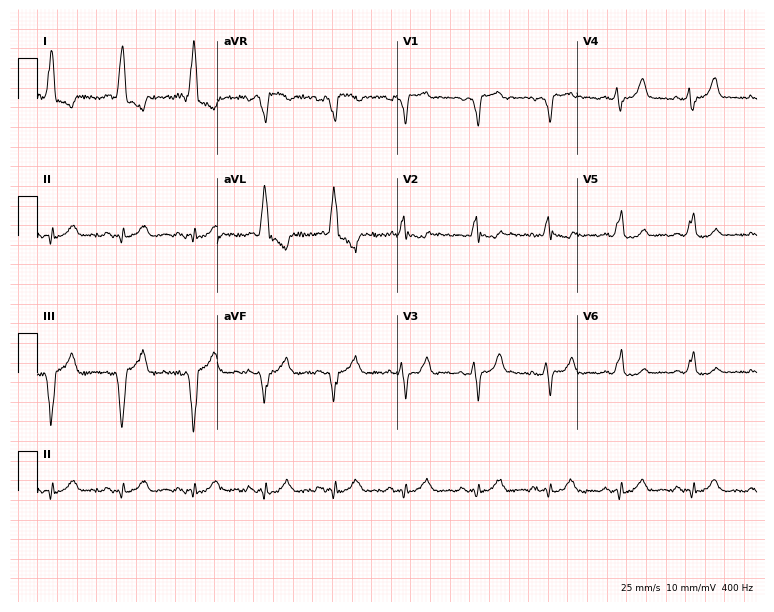
12-lead ECG from a female patient, 37 years old. Findings include left bundle branch block.